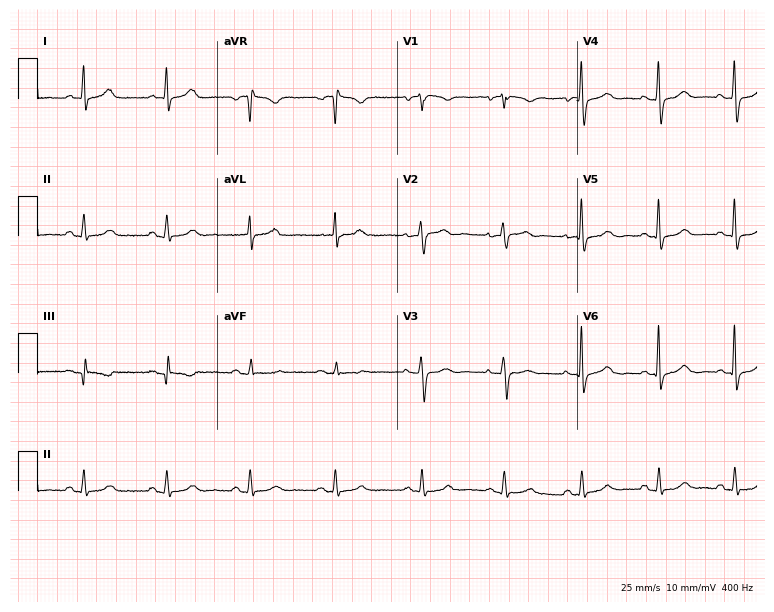
ECG — a female patient, 63 years old. Labelled as a normal ECG.